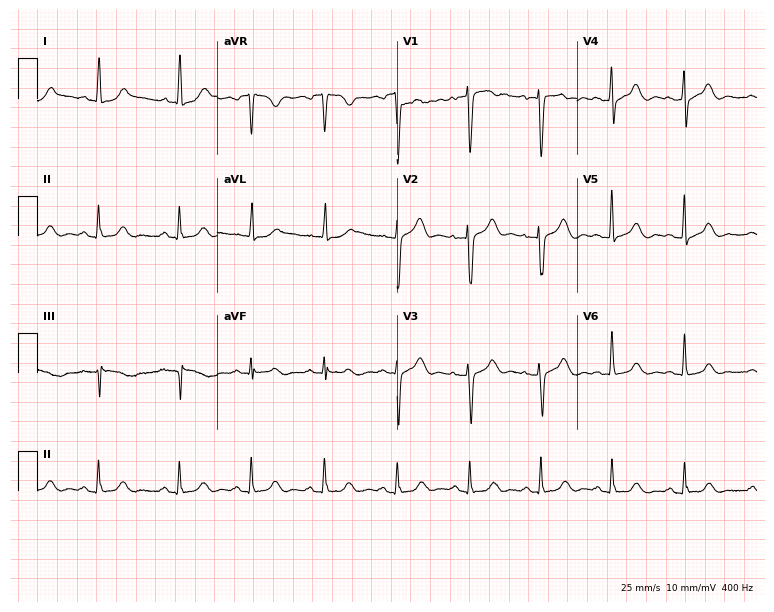
ECG — a female patient, 65 years old. Labelled as a normal ECG.